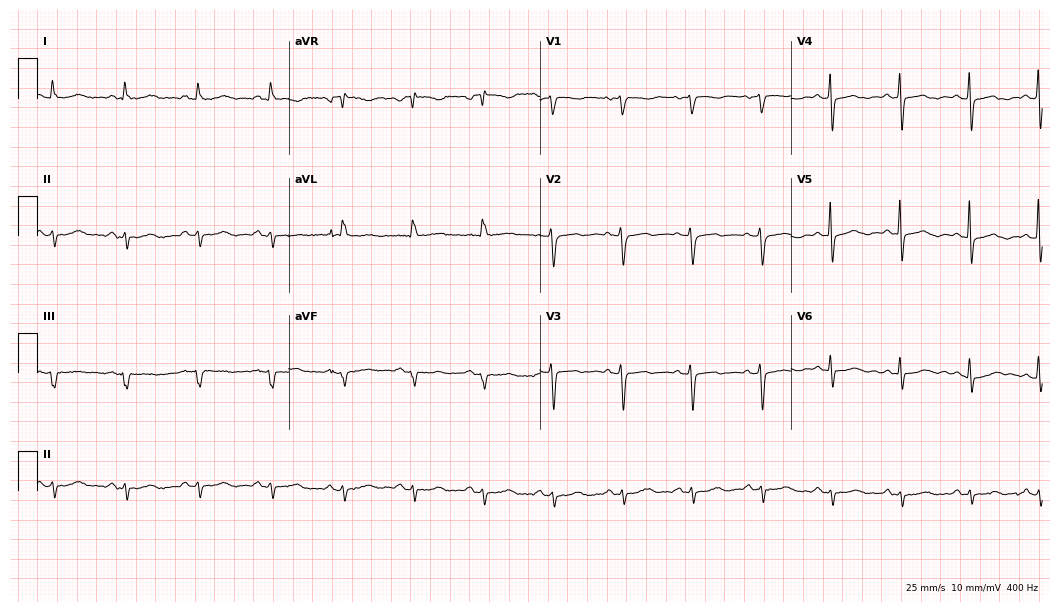
Resting 12-lead electrocardiogram. Patient: a female, 78 years old. None of these six findings is recorded: first-degree AV block, right bundle branch block, left bundle branch block, sinus bradycardia, atrial fibrillation, sinus tachycardia. Other findings, if any, are not listed.